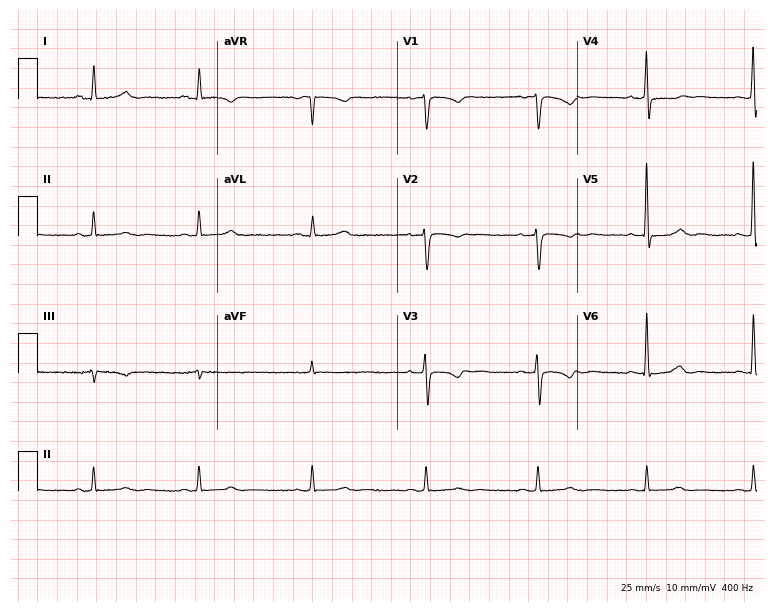
Standard 12-lead ECG recorded from a female patient, 72 years old. None of these six findings is recorded: first-degree AV block, right bundle branch block (RBBB), left bundle branch block (LBBB), sinus bradycardia, atrial fibrillation (AF), sinus tachycardia. Other findings, if any, are not listed.